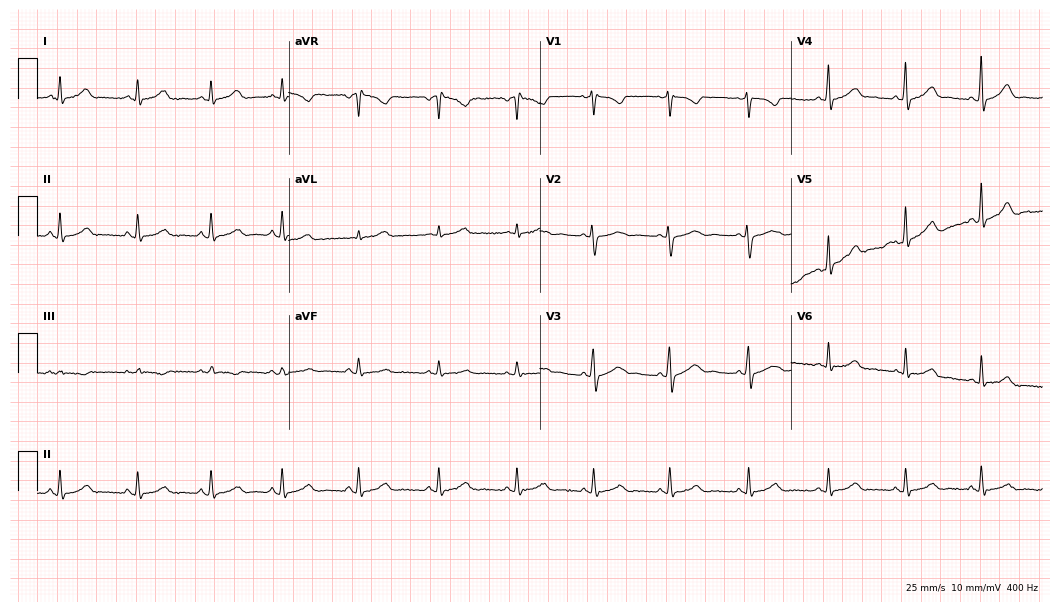
Resting 12-lead electrocardiogram. Patient: an 18-year-old female. None of these six findings is recorded: first-degree AV block, right bundle branch block (RBBB), left bundle branch block (LBBB), sinus bradycardia, atrial fibrillation (AF), sinus tachycardia.